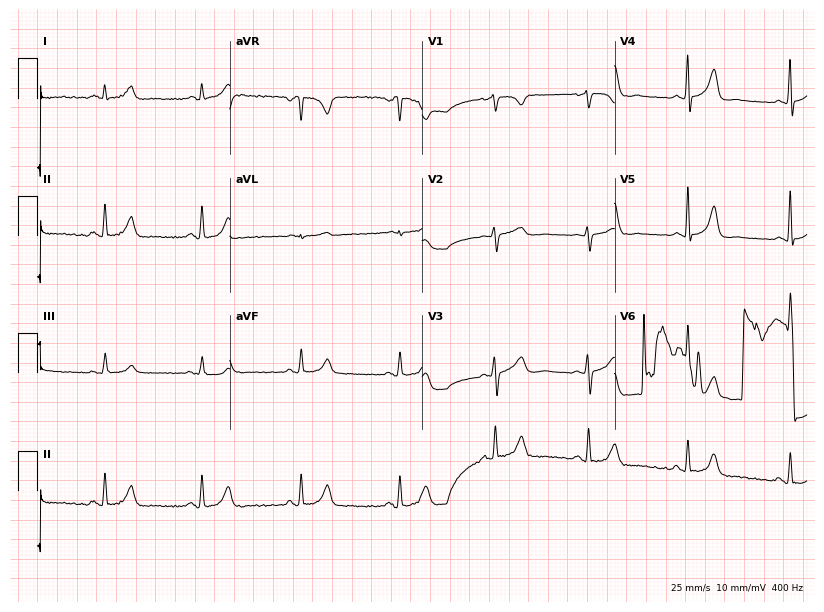
Standard 12-lead ECG recorded from a 28-year-old female. Read as a normal ECG.